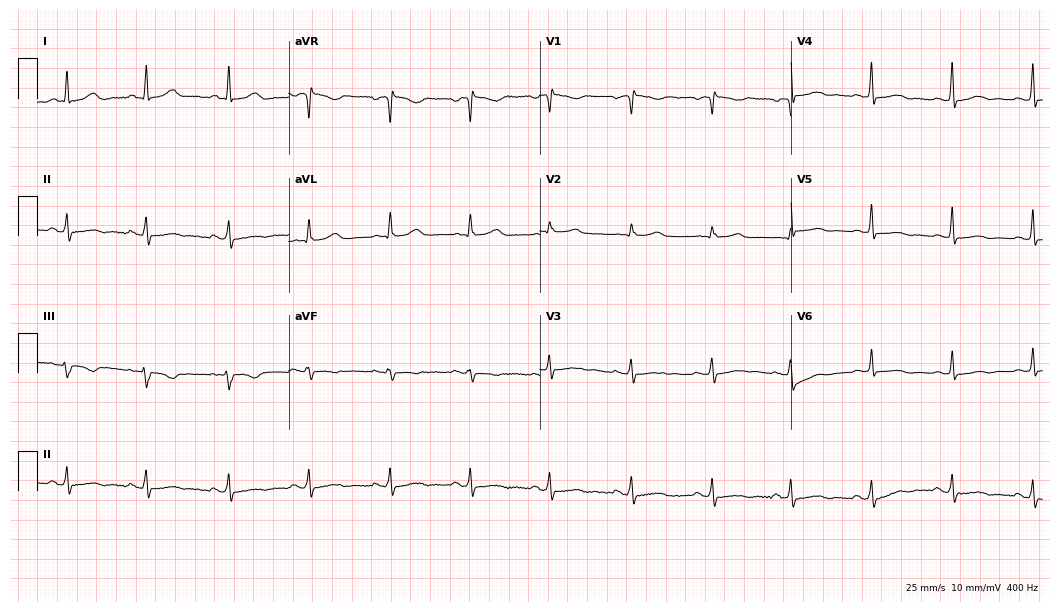
12-lead ECG (10.2-second recording at 400 Hz) from a 50-year-old woman. Screened for six findings — first-degree AV block, right bundle branch block, left bundle branch block, sinus bradycardia, atrial fibrillation, sinus tachycardia — none is recorded. Only these six findings were labelled.